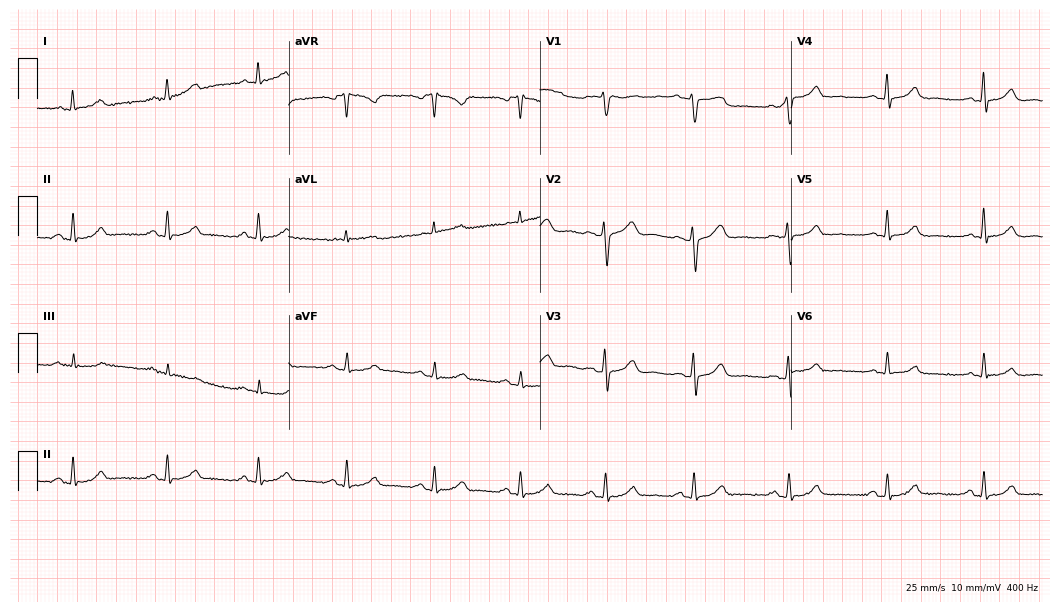
ECG — a male, 52 years old. Labelled as a normal ECG.